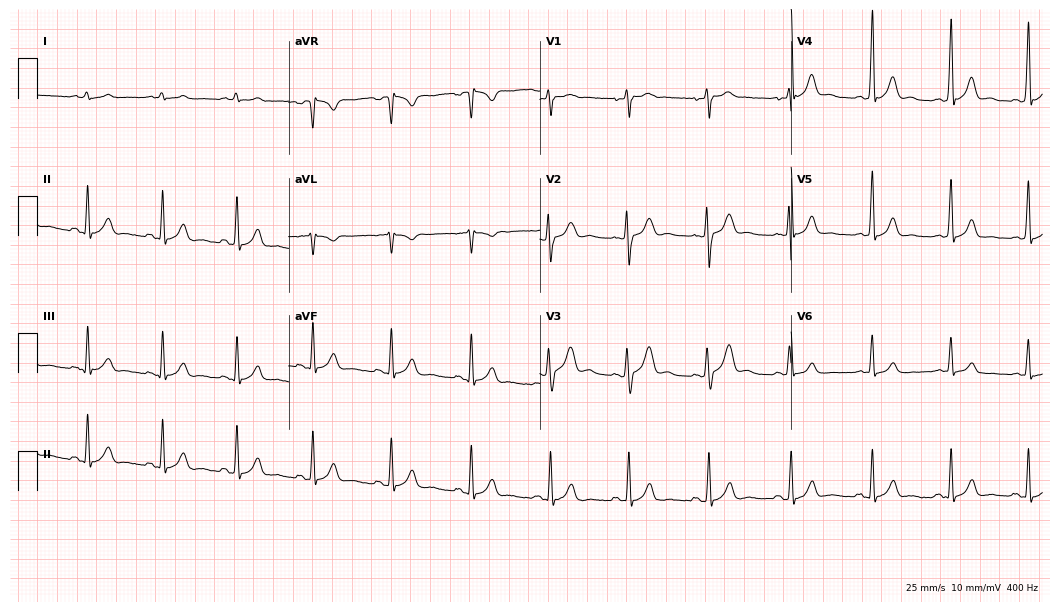
Standard 12-lead ECG recorded from a 36-year-old female patient (10.2-second recording at 400 Hz). None of these six findings is recorded: first-degree AV block, right bundle branch block, left bundle branch block, sinus bradycardia, atrial fibrillation, sinus tachycardia. Findings outside these six are not listed.